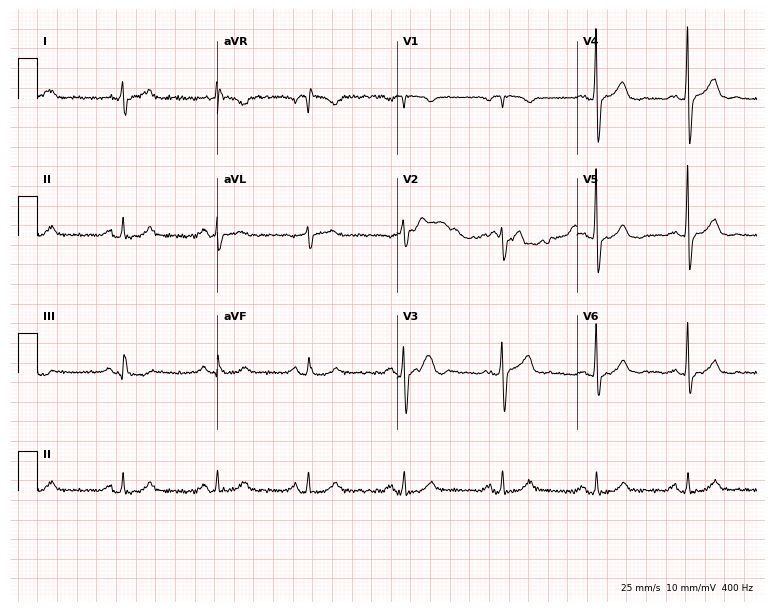
Resting 12-lead electrocardiogram (7.3-second recording at 400 Hz). Patient: a 64-year-old male. None of these six findings is recorded: first-degree AV block, right bundle branch block (RBBB), left bundle branch block (LBBB), sinus bradycardia, atrial fibrillation (AF), sinus tachycardia.